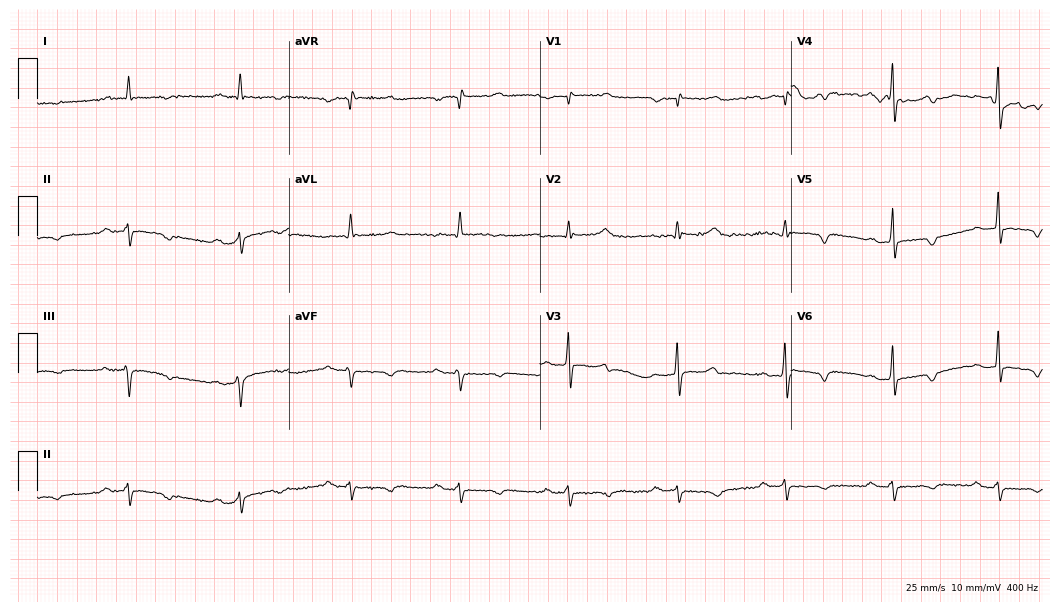
Resting 12-lead electrocardiogram (10.2-second recording at 400 Hz). Patient: a man, 73 years old. None of these six findings is recorded: first-degree AV block, right bundle branch block (RBBB), left bundle branch block (LBBB), sinus bradycardia, atrial fibrillation (AF), sinus tachycardia.